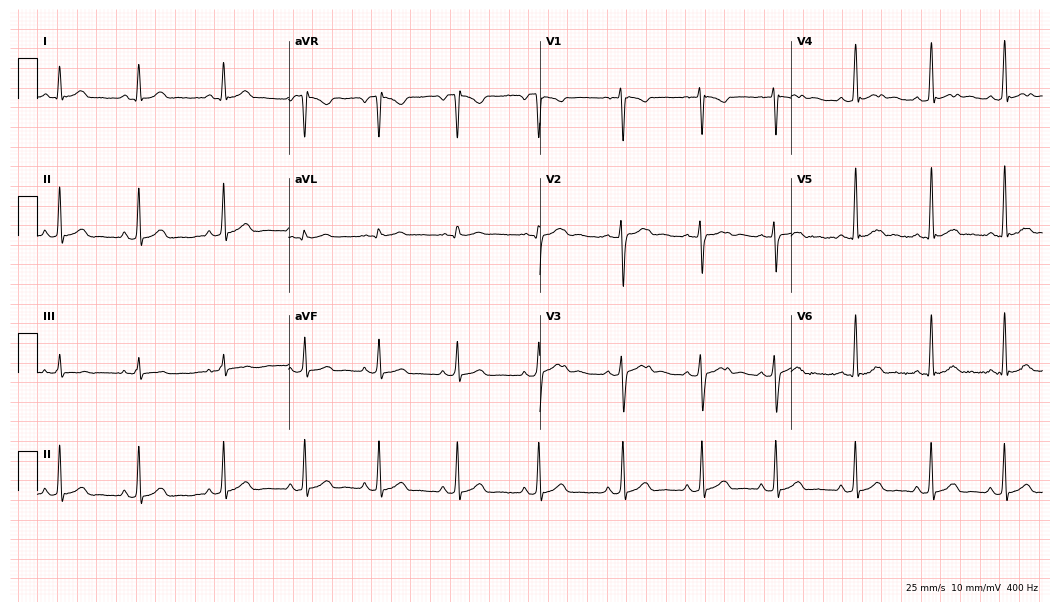
Standard 12-lead ECG recorded from a 21-year-old female patient. Read as a normal ECG.